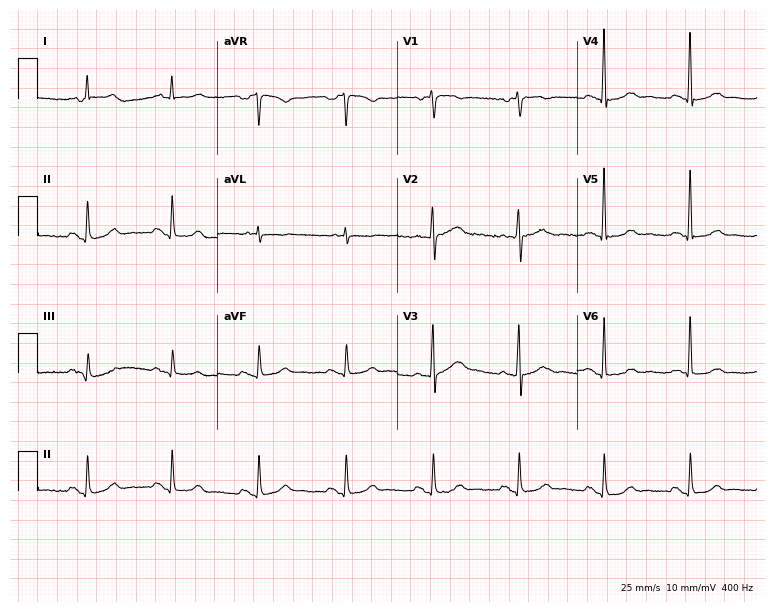
Standard 12-lead ECG recorded from a woman, 72 years old (7.3-second recording at 400 Hz). Read as a normal ECG.